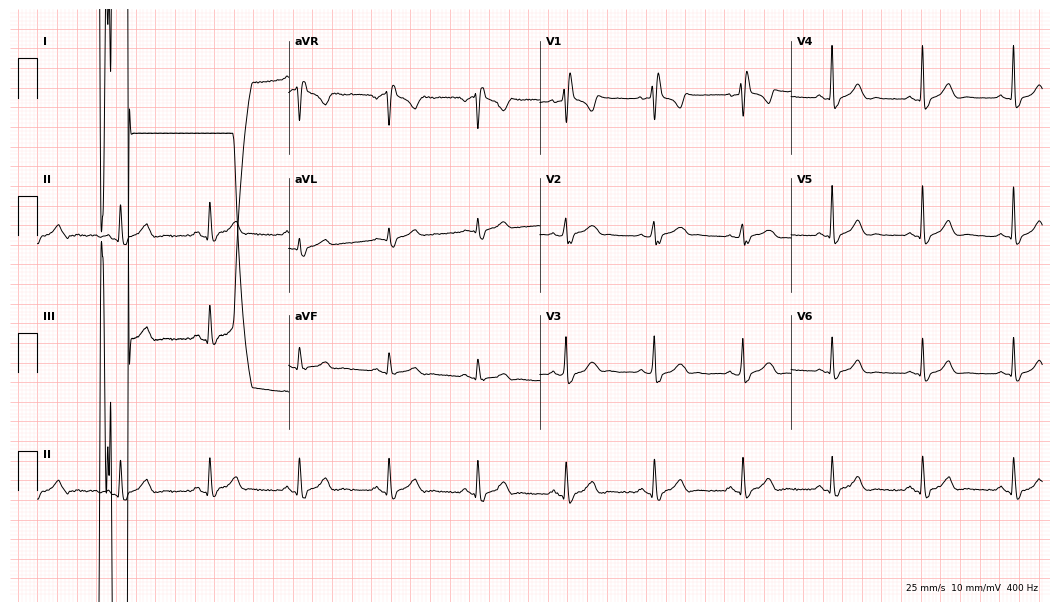
12-lead ECG from a 56-year-old male. No first-degree AV block, right bundle branch block (RBBB), left bundle branch block (LBBB), sinus bradycardia, atrial fibrillation (AF) or sinus tachycardia recorded for this tracing.